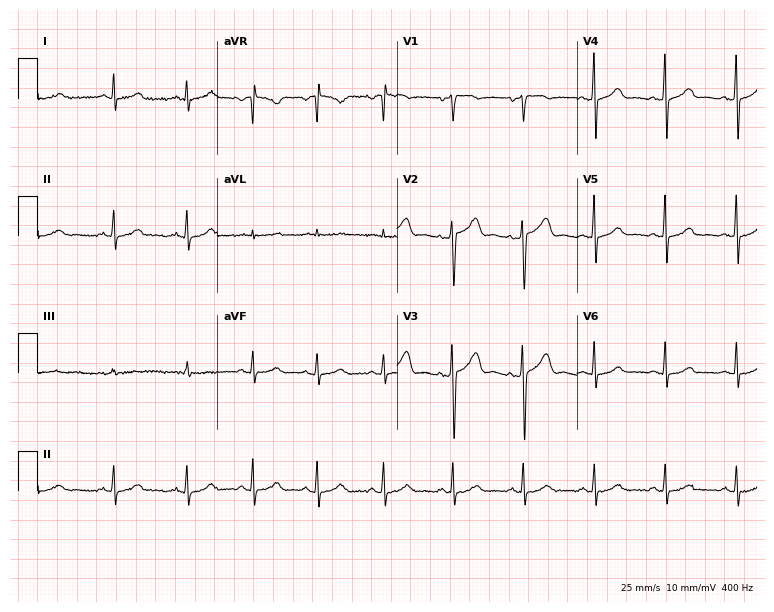
12-lead ECG from a 45-year-old woman. Labelled as a normal ECG.